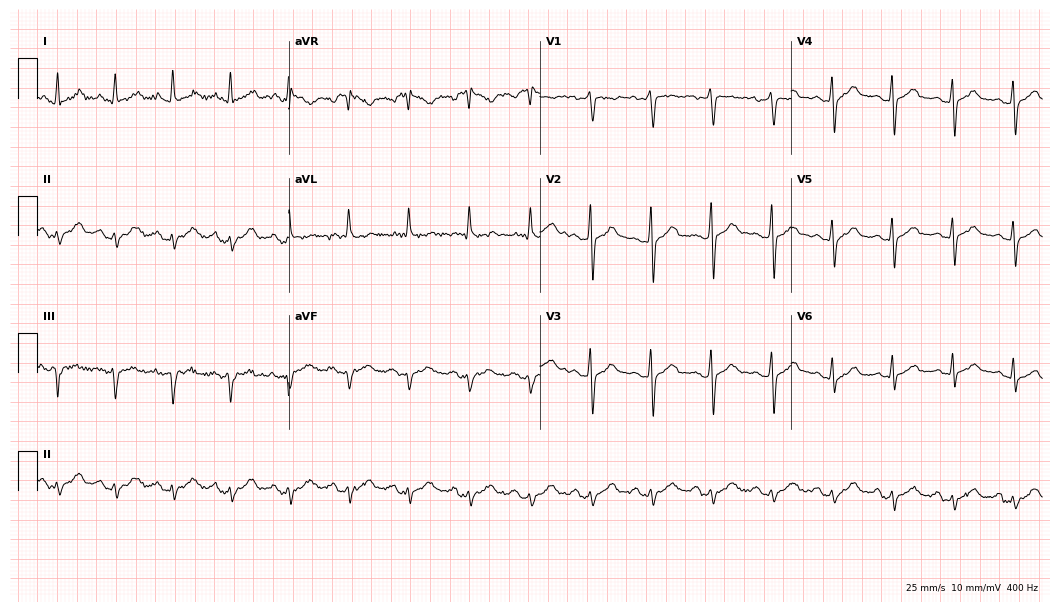
Electrocardiogram (10.2-second recording at 400 Hz), a 33-year-old male. Overall reading on record: normal ECG.